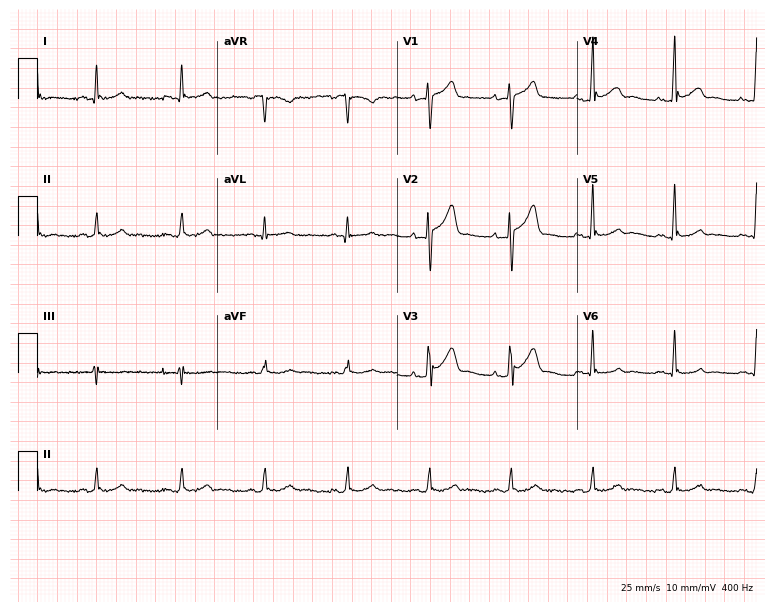
Resting 12-lead electrocardiogram. Patient: a 44-year-old male. None of these six findings is recorded: first-degree AV block, right bundle branch block, left bundle branch block, sinus bradycardia, atrial fibrillation, sinus tachycardia.